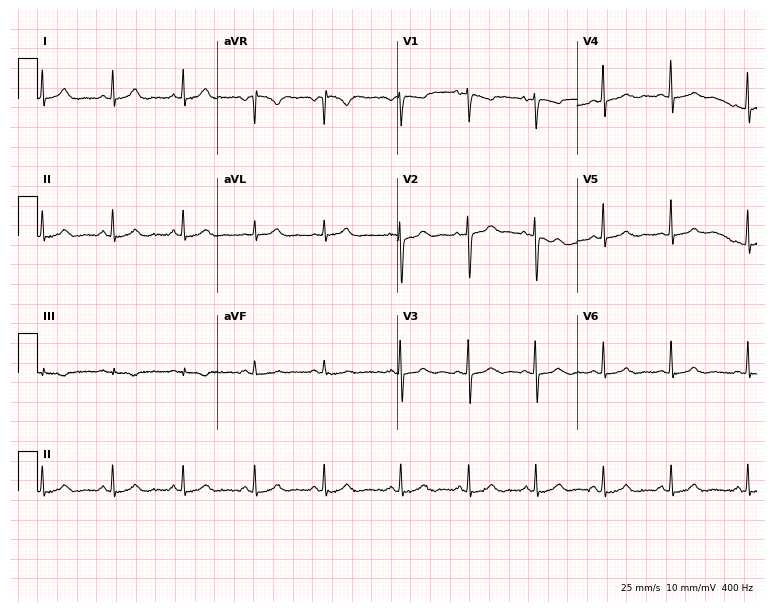
12-lead ECG from a woman, 36 years old. Recorded interpretation: within normal limits.